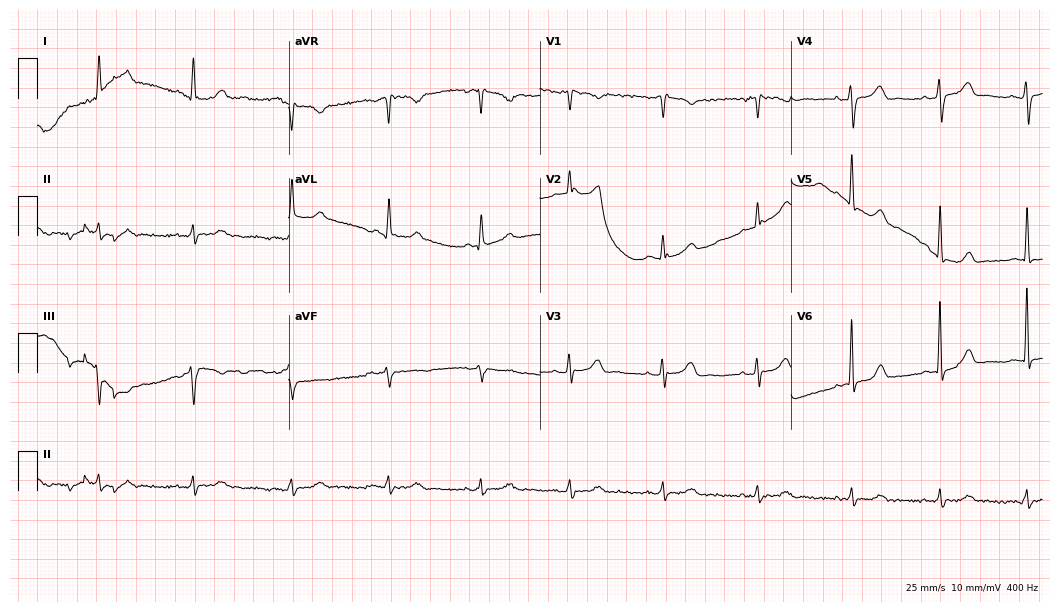
Electrocardiogram, a 50-year-old female patient. Overall reading on record: normal ECG.